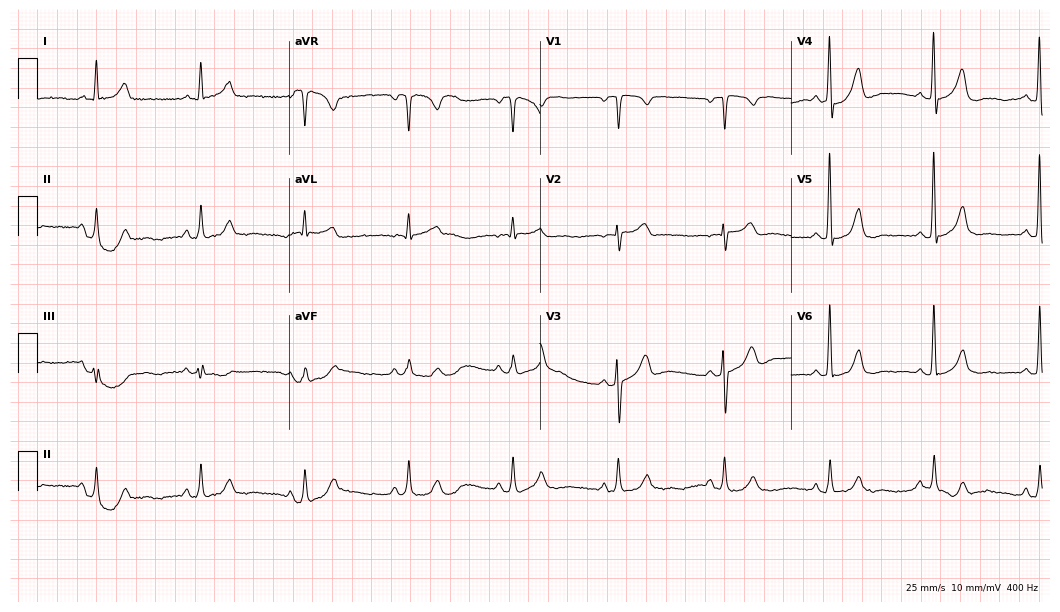
12-lead ECG from a man, 75 years old. Recorded interpretation: within normal limits.